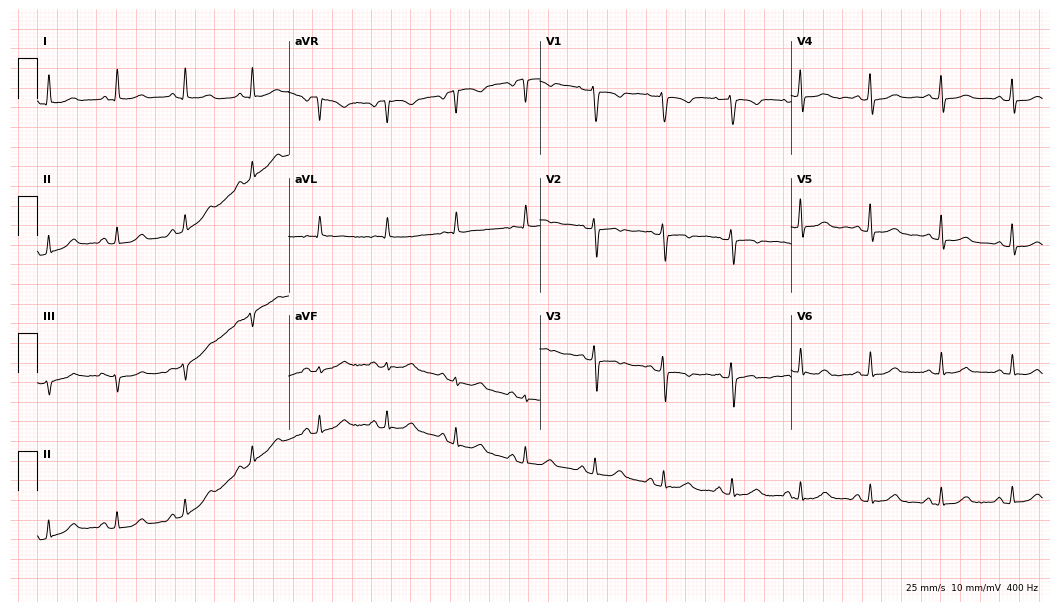
ECG (10.2-second recording at 400 Hz) — a female, 55 years old. Labelled as a normal ECG.